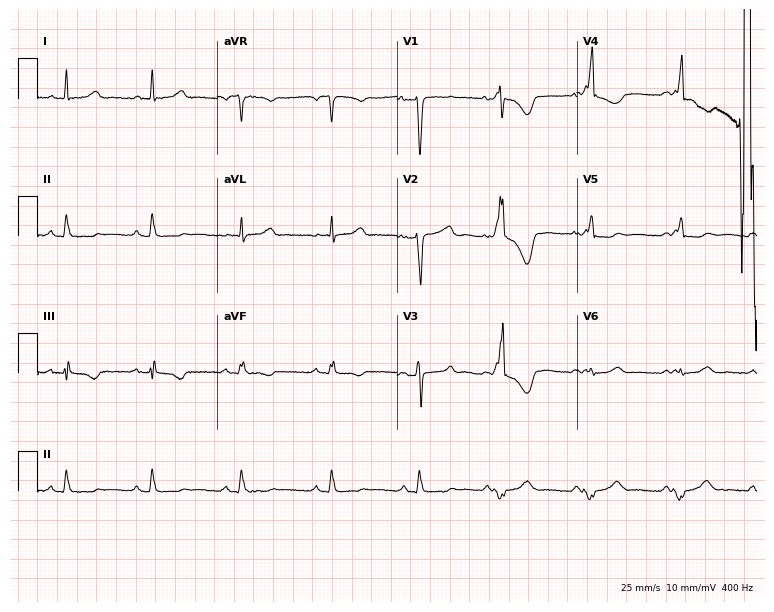
Standard 12-lead ECG recorded from a 35-year-old female. None of these six findings is recorded: first-degree AV block, right bundle branch block, left bundle branch block, sinus bradycardia, atrial fibrillation, sinus tachycardia.